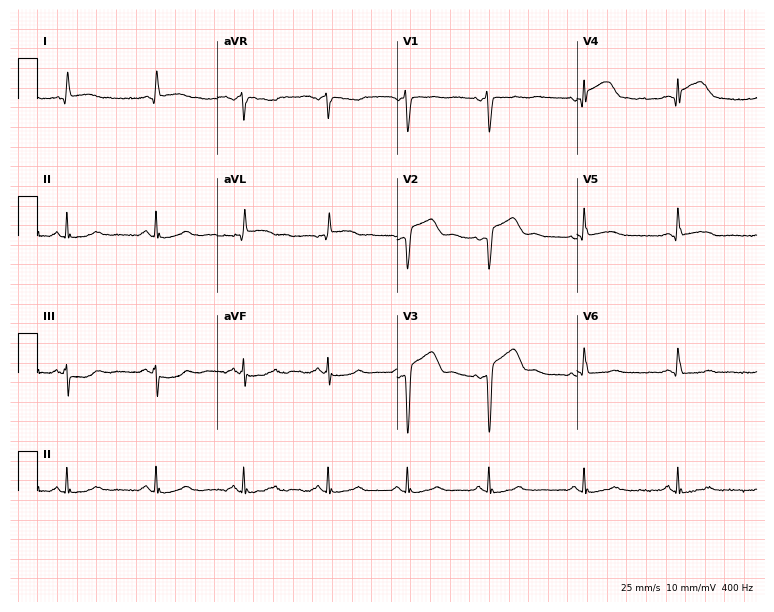
Electrocardiogram (7.3-second recording at 400 Hz), a woman, 70 years old. Of the six screened findings (first-degree AV block, right bundle branch block (RBBB), left bundle branch block (LBBB), sinus bradycardia, atrial fibrillation (AF), sinus tachycardia), none is recorded.